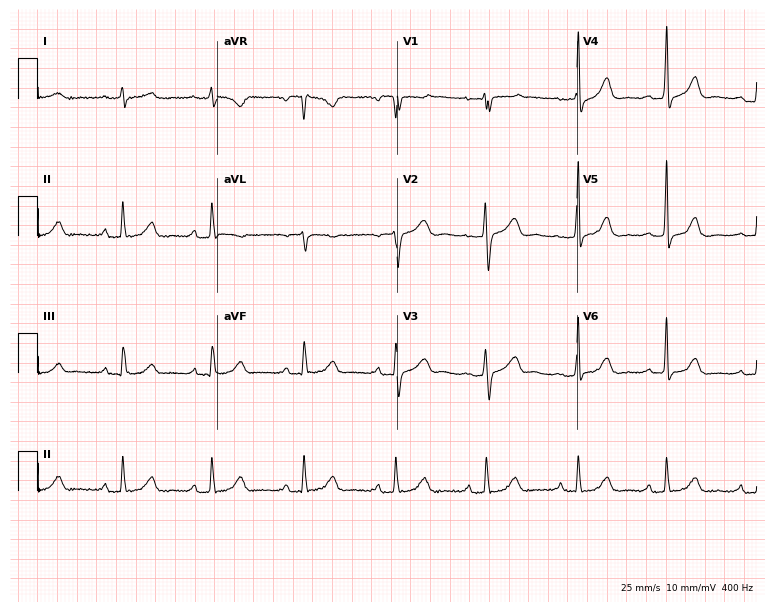
ECG (7.3-second recording at 400 Hz) — a woman, 51 years old. Screened for six findings — first-degree AV block, right bundle branch block (RBBB), left bundle branch block (LBBB), sinus bradycardia, atrial fibrillation (AF), sinus tachycardia — none is recorded.